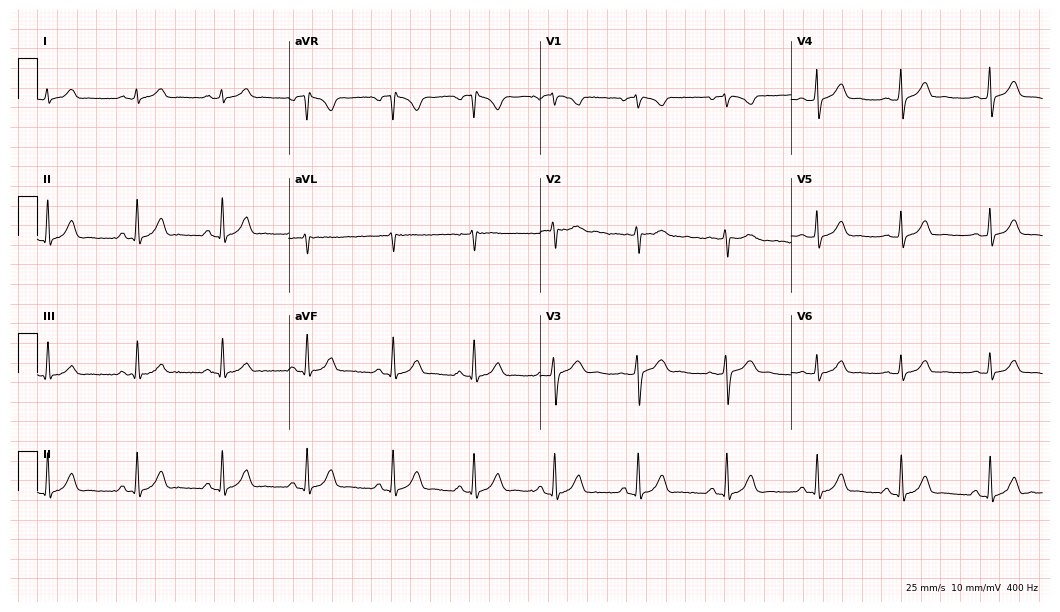
Standard 12-lead ECG recorded from a 26-year-old female. Read as a normal ECG.